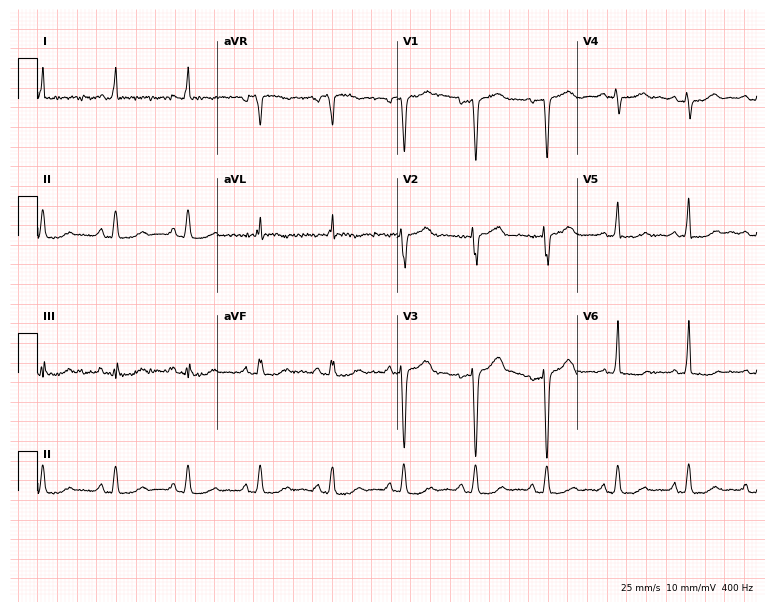
12-lead ECG from a 67-year-old woman. No first-degree AV block, right bundle branch block, left bundle branch block, sinus bradycardia, atrial fibrillation or sinus tachycardia recorded for this tracing. Other findings, if any, are not listed.